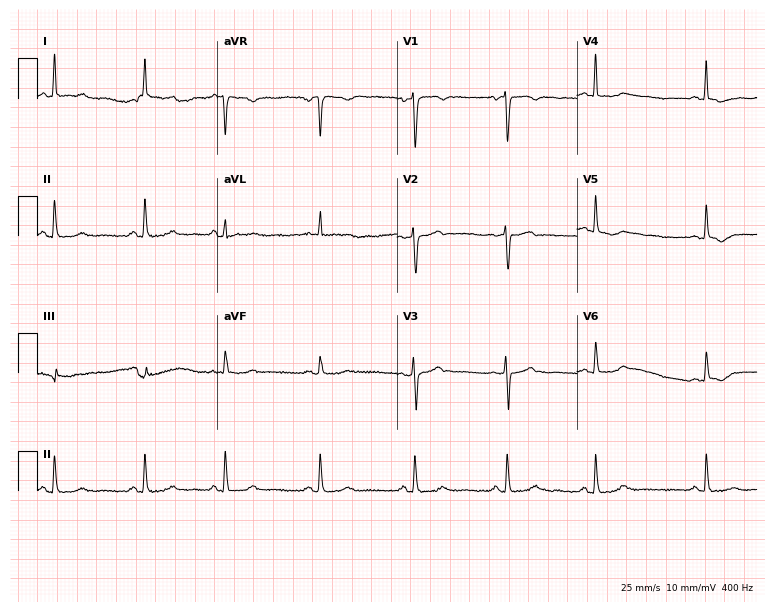
12-lead ECG from a 43-year-old woman. No first-degree AV block, right bundle branch block, left bundle branch block, sinus bradycardia, atrial fibrillation or sinus tachycardia recorded for this tracing.